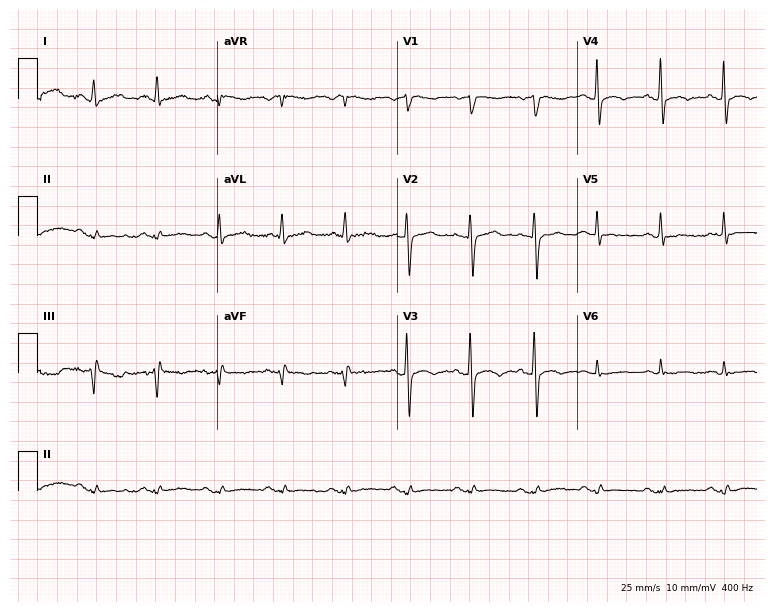
ECG — a male, 71 years old. Screened for six findings — first-degree AV block, right bundle branch block, left bundle branch block, sinus bradycardia, atrial fibrillation, sinus tachycardia — none is recorded.